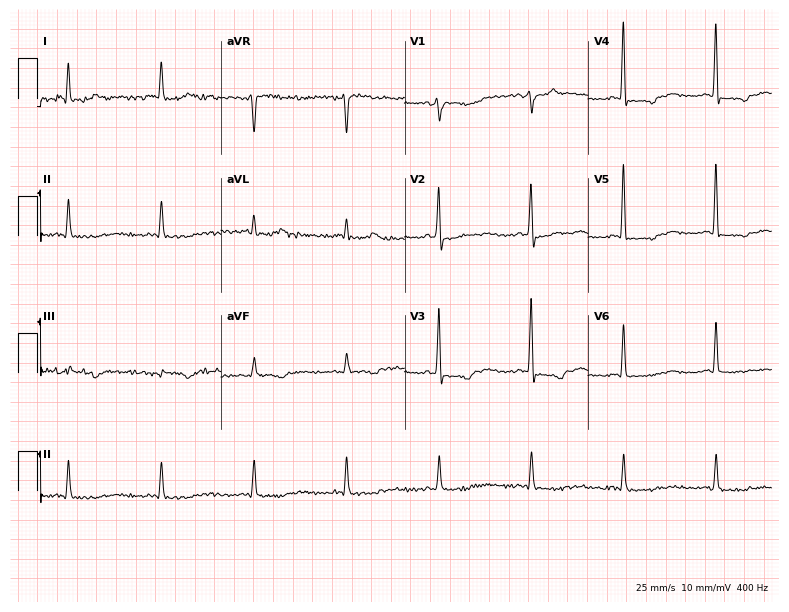
Resting 12-lead electrocardiogram (7.5-second recording at 400 Hz). Patient: a 77-year-old female. None of these six findings is recorded: first-degree AV block, right bundle branch block, left bundle branch block, sinus bradycardia, atrial fibrillation, sinus tachycardia. Findings outside these six are not listed.